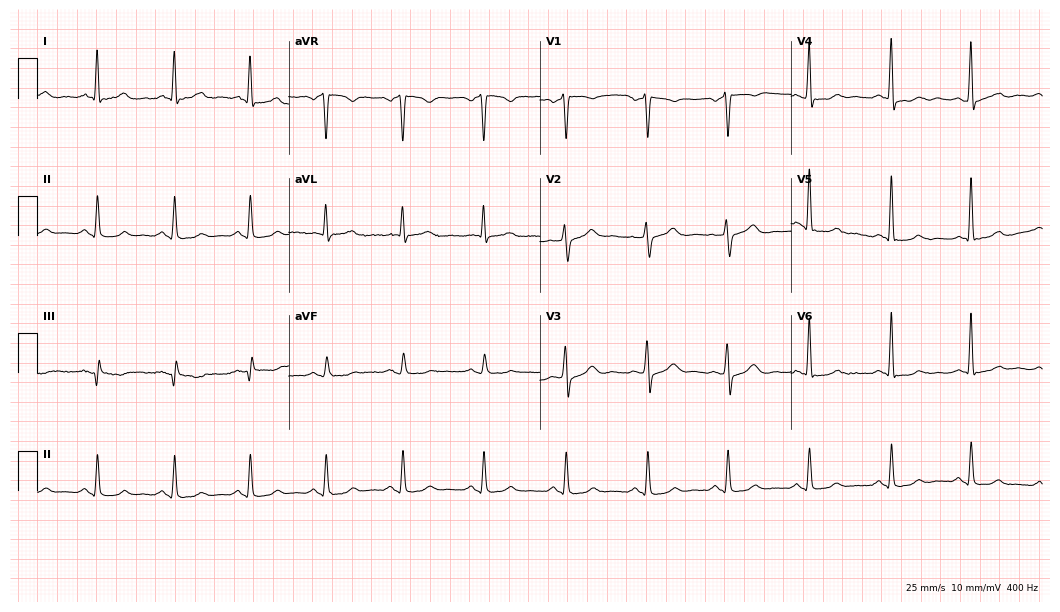
12-lead ECG from a 54-year-old man (10.2-second recording at 400 Hz). No first-degree AV block, right bundle branch block, left bundle branch block, sinus bradycardia, atrial fibrillation or sinus tachycardia recorded for this tracing. Only these six findings were labelled.